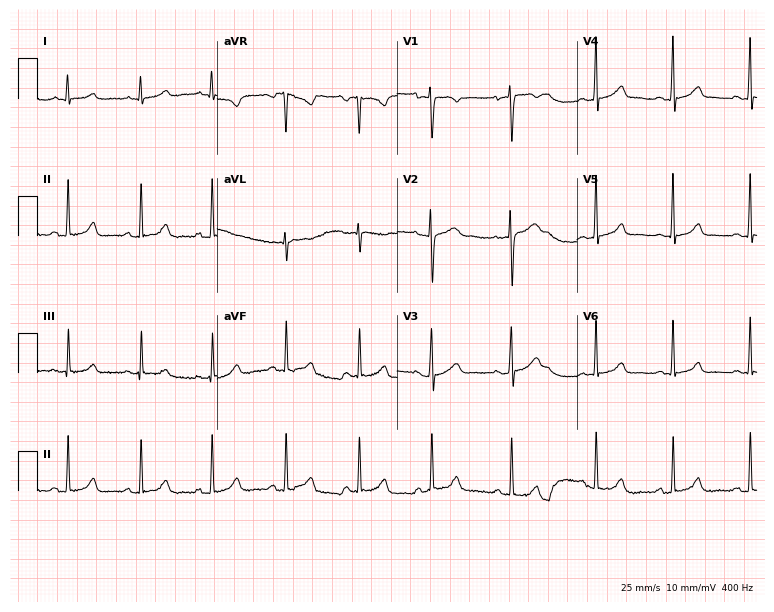
12-lead ECG from a woman, 19 years old (7.3-second recording at 400 Hz). Recorded interpretation: within normal limits.